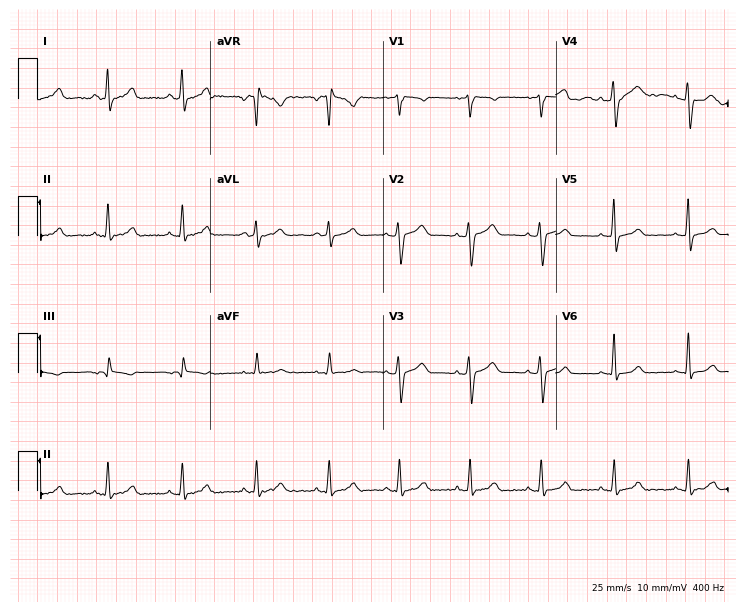
ECG — a female, 40 years old. Screened for six findings — first-degree AV block, right bundle branch block (RBBB), left bundle branch block (LBBB), sinus bradycardia, atrial fibrillation (AF), sinus tachycardia — none is recorded.